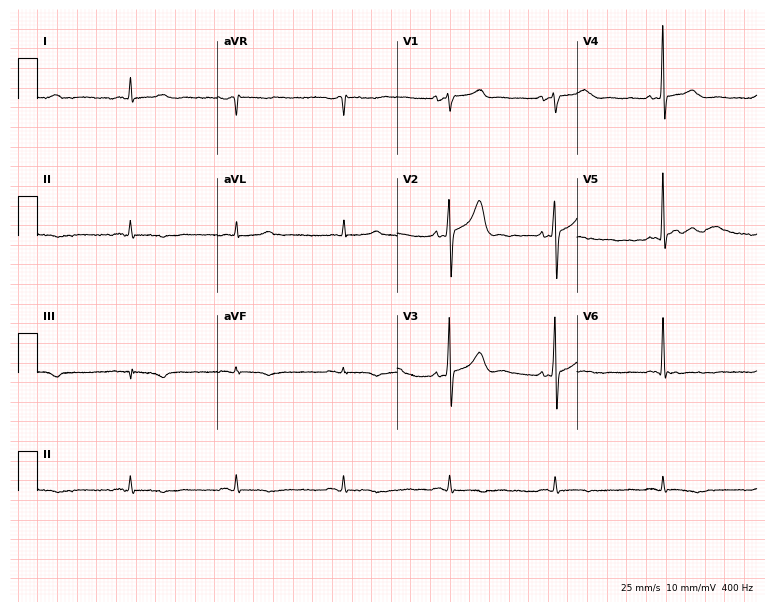
12-lead ECG from a 79-year-old male (7.3-second recording at 400 Hz). No first-degree AV block, right bundle branch block, left bundle branch block, sinus bradycardia, atrial fibrillation or sinus tachycardia recorded for this tracing.